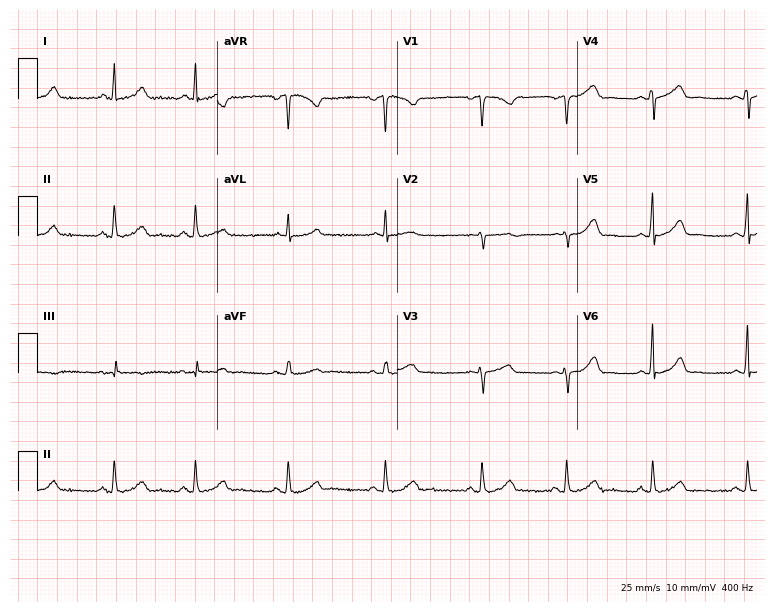
ECG (7.3-second recording at 400 Hz) — a female patient, 32 years old. Screened for six findings — first-degree AV block, right bundle branch block, left bundle branch block, sinus bradycardia, atrial fibrillation, sinus tachycardia — none is recorded. Other findings, if any, are not listed.